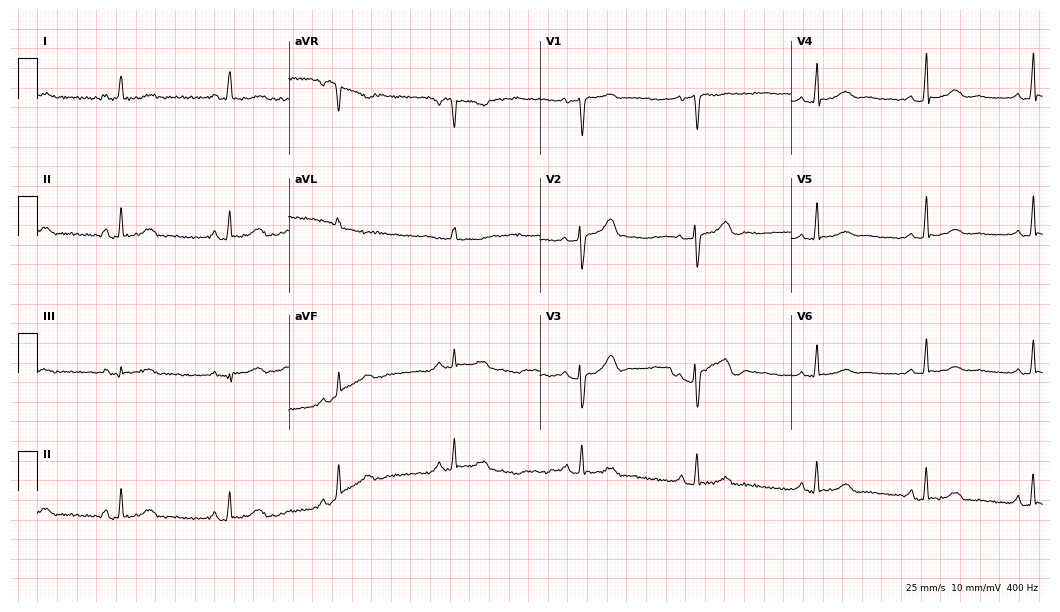
12-lead ECG from a 51-year-old female. Labelled as a normal ECG.